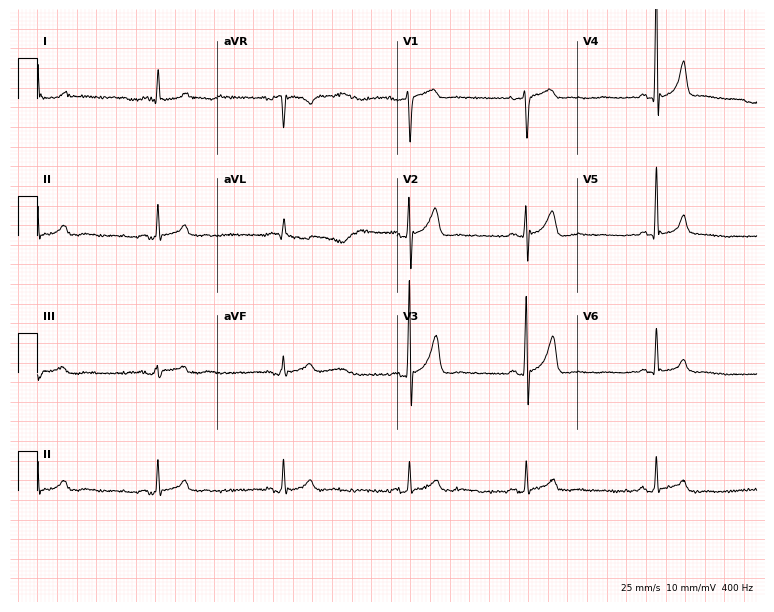
12-lead ECG from a male patient, 42 years old. Screened for six findings — first-degree AV block, right bundle branch block, left bundle branch block, sinus bradycardia, atrial fibrillation, sinus tachycardia — none is recorded.